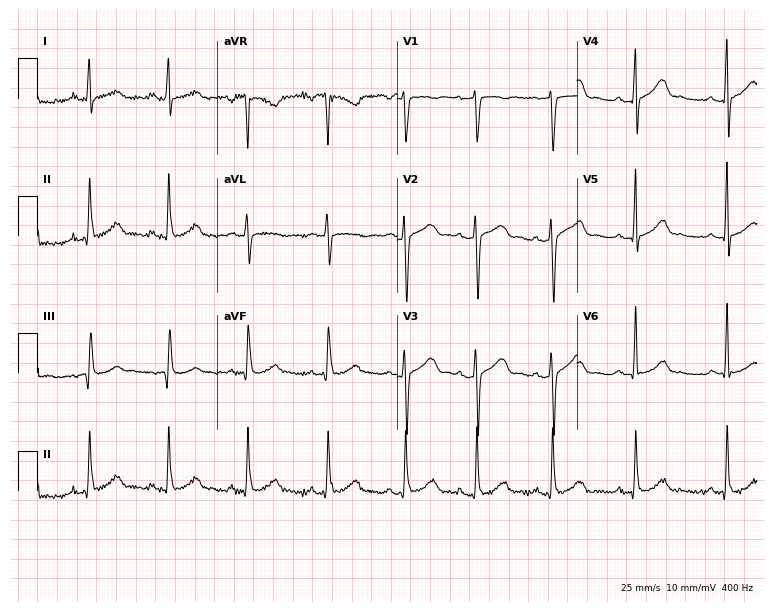
Standard 12-lead ECG recorded from a 24-year-old female (7.3-second recording at 400 Hz). None of these six findings is recorded: first-degree AV block, right bundle branch block (RBBB), left bundle branch block (LBBB), sinus bradycardia, atrial fibrillation (AF), sinus tachycardia. Findings outside these six are not listed.